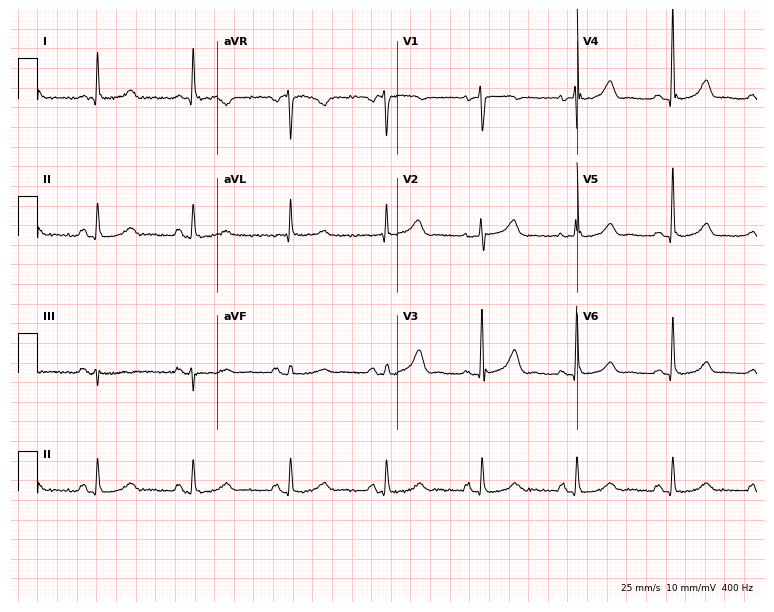
Resting 12-lead electrocardiogram (7.3-second recording at 400 Hz). Patient: a woman, 67 years old. None of these six findings is recorded: first-degree AV block, right bundle branch block, left bundle branch block, sinus bradycardia, atrial fibrillation, sinus tachycardia. Other findings, if any, are not listed.